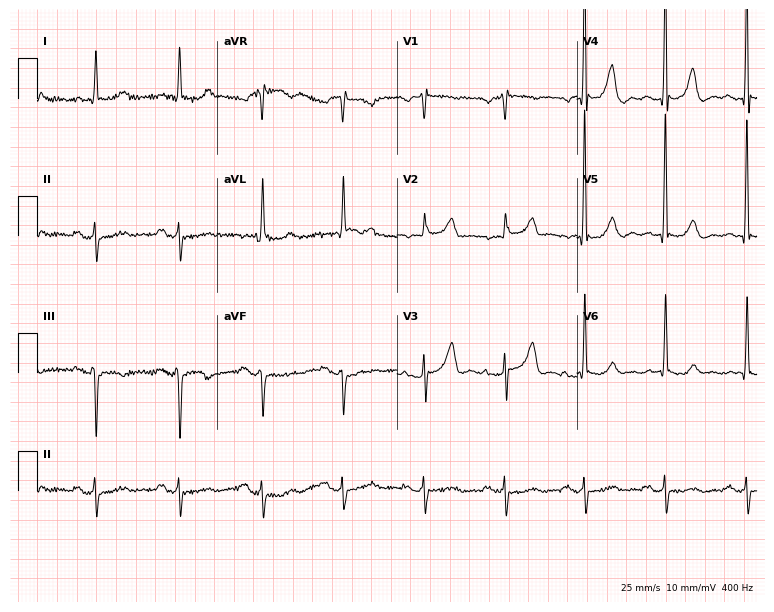
Standard 12-lead ECG recorded from a woman, 73 years old (7.3-second recording at 400 Hz). None of these six findings is recorded: first-degree AV block, right bundle branch block, left bundle branch block, sinus bradycardia, atrial fibrillation, sinus tachycardia. Only these six findings were labelled.